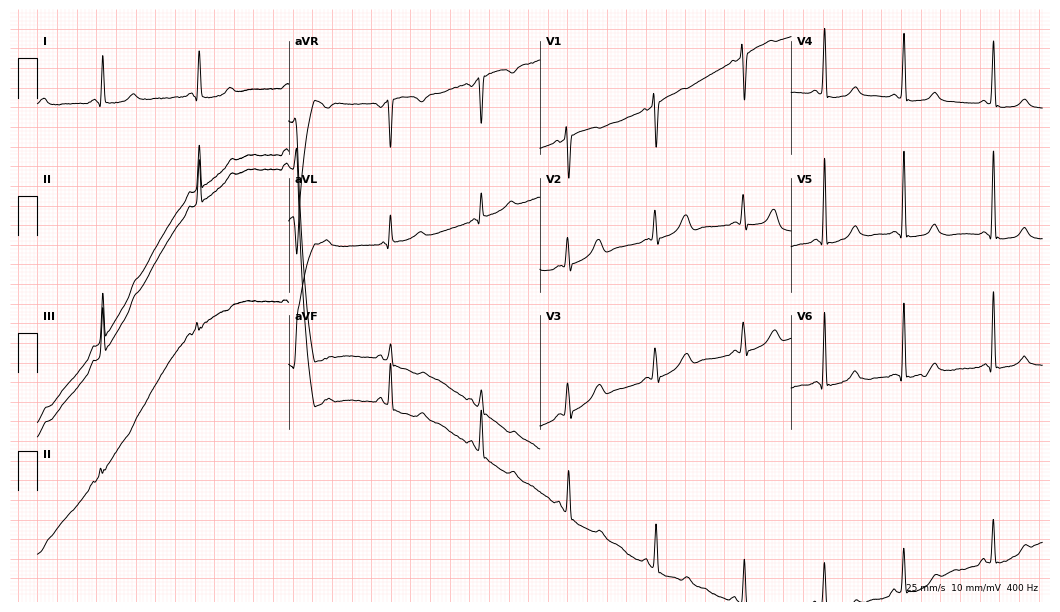
Resting 12-lead electrocardiogram. Patient: a female, 39 years old. None of these six findings is recorded: first-degree AV block, right bundle branch block, left bundle branch block, sinus bradycardia, atrial fibrillation, sinus tachycardia.